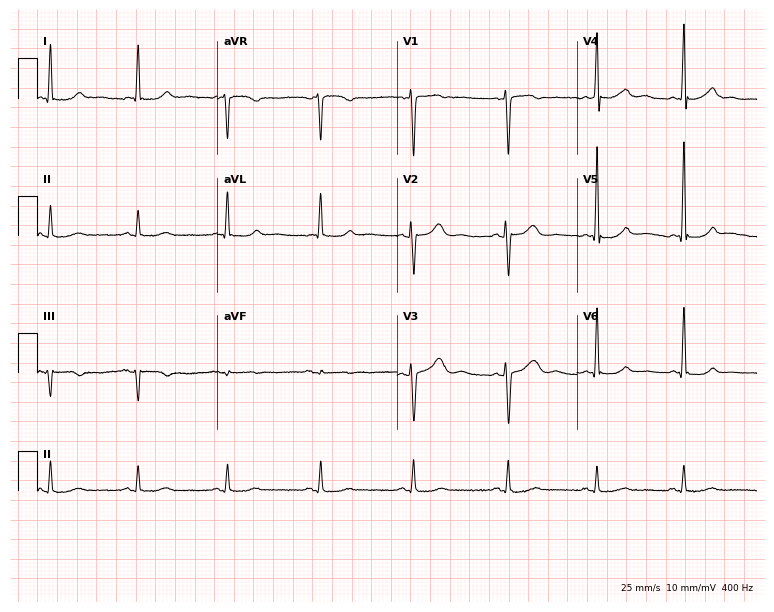
Standard 12-lead ECG recorded from a female patient, 47 years old. None of these six findings is recorded: first-degree AV block, right bundle branch block, left bundle branch block, sinus bradycardia, atrial fibrillation, sinus tachycardia.